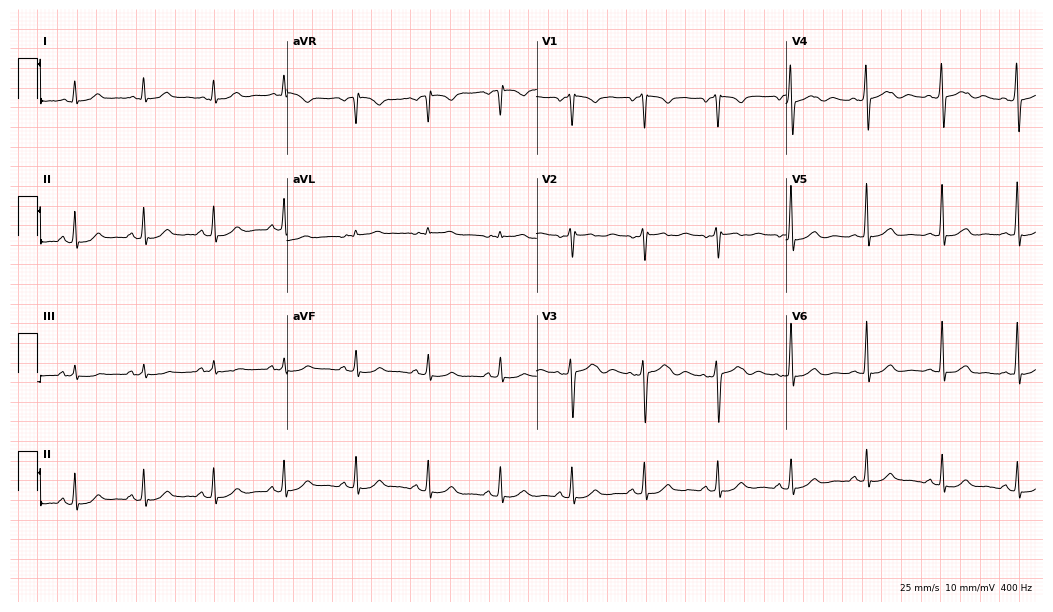
ECG — a male patient, 41 years old. Labelled as a normal ECG.